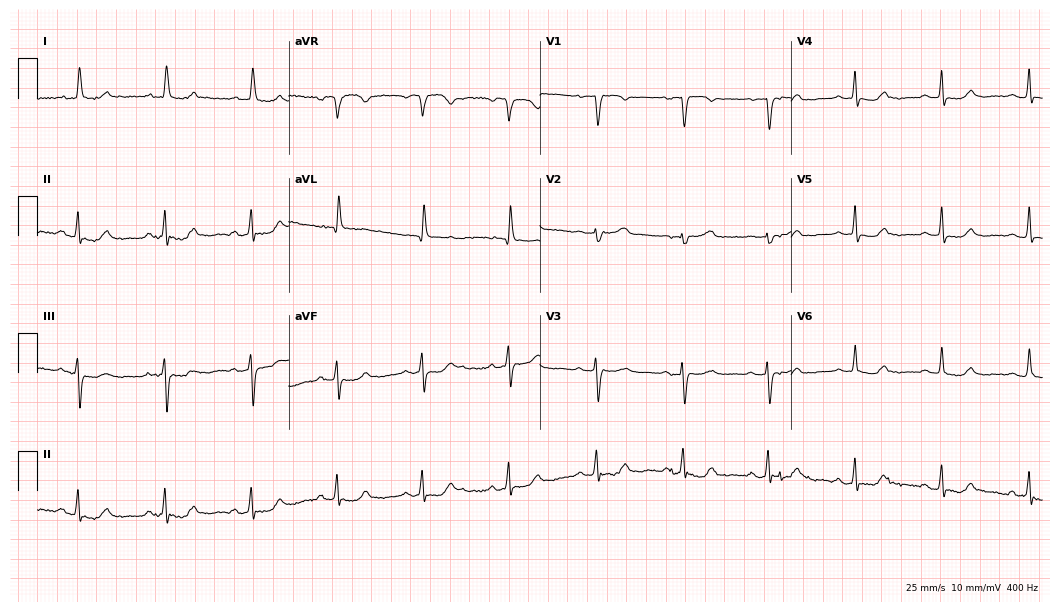
12-lead ECG from a female patient, 78 years old. Recorded interpretation: within normal limits.